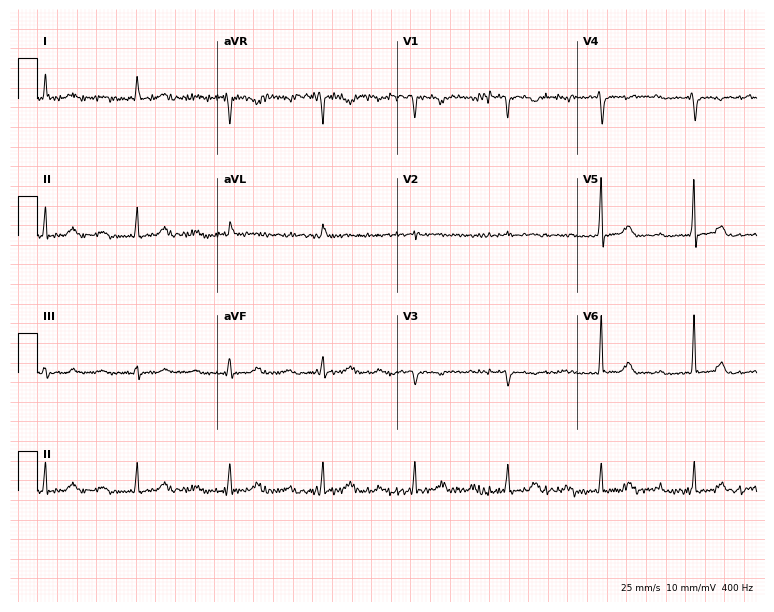
ECG (7.3-second recording at 400 Hz) — a 70-year-old male. Screened for six findings — first-degree AV block, right bundle branch block, left bundle branch block, sinus bradycardia, atrial fibrillation, sinus tachycardia — none is recorded. Other findings, if any, are not listed.